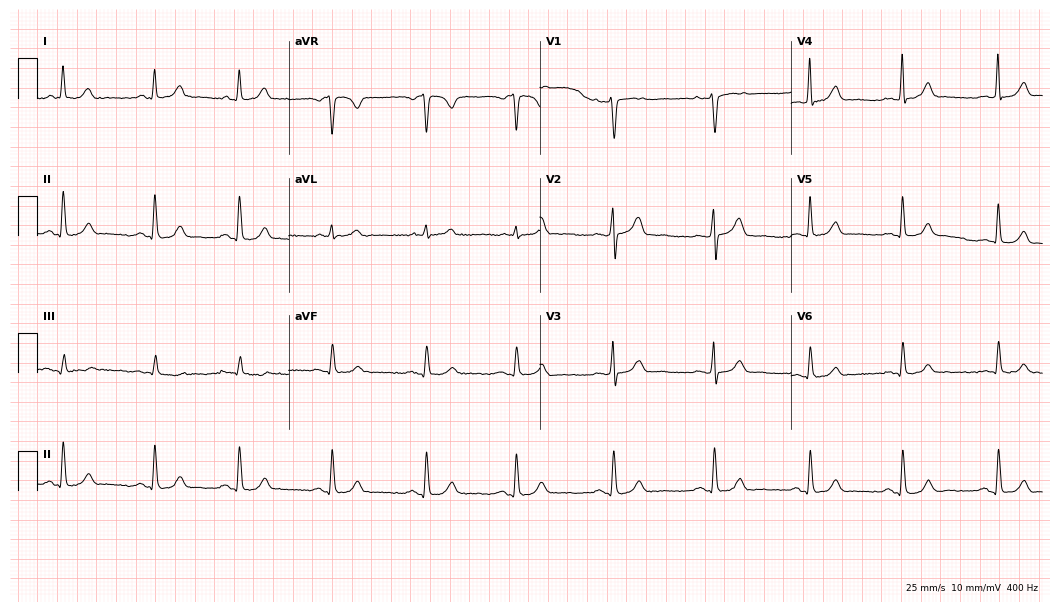
Resting 12-lead electrocardiogram (10.2-second recording at 400 Hz). Patient: a 37-year-old female. Read as a normal ECG.